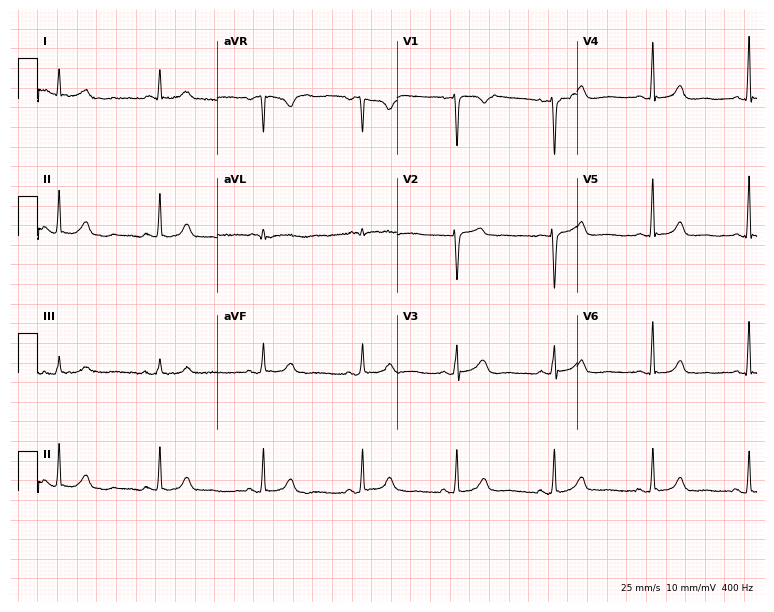
Electrocardiogram, a woman, 48 years old. Of the six screened findings (first-degree AV block, right bundle branch block, left bundle branch block, sinus bradycardia, atrial fibrillation, sinus tachycardia), none is recorded. Other findings, if any, are not listed.